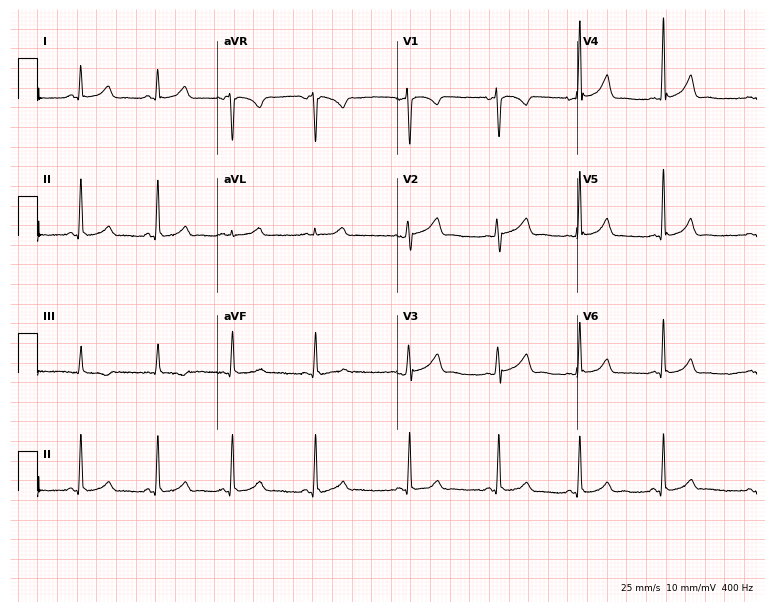
12-lead ECG from a 27-year-old female. Screened for six findings — first-degree AV block, right bundle branch block (RBBB), left bundle branch block (LBBB), sinus bradycardia, atrial fibrillation (AF), sinus tachycardia — none is recorded.